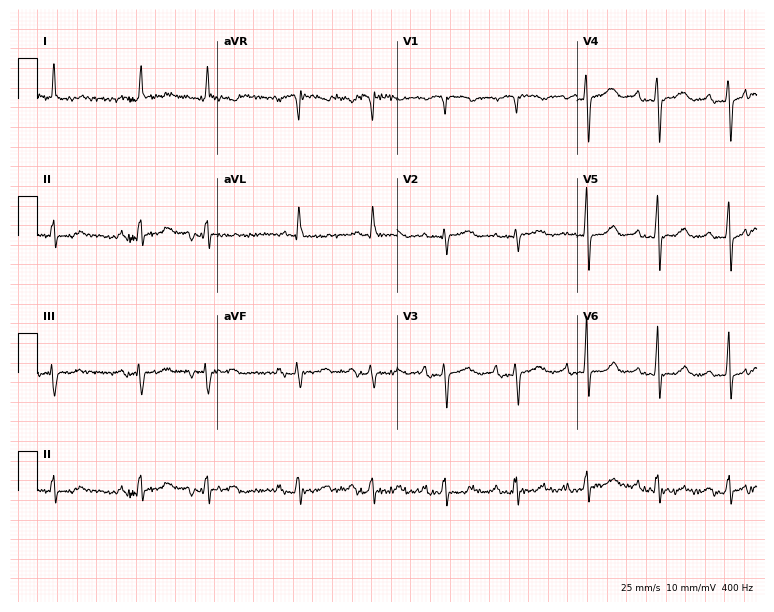
12-lead ECG from a female, 82 years old. Screened for six findings — first-degree AV block, right bundle branch block, left bundle branch block, sinus bradycardia, atrial fibrillation, sinus tachycardia — none is recorded. Findings outside these six are not listed.